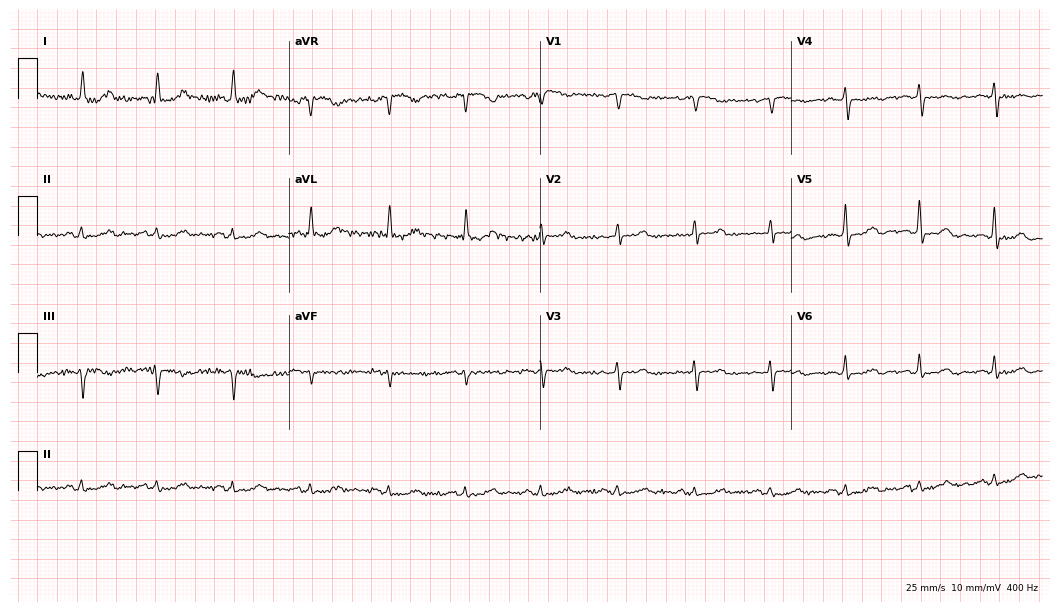
12-lead ECG from a female, 70 years old. Recorded interpretation: within normal limits.